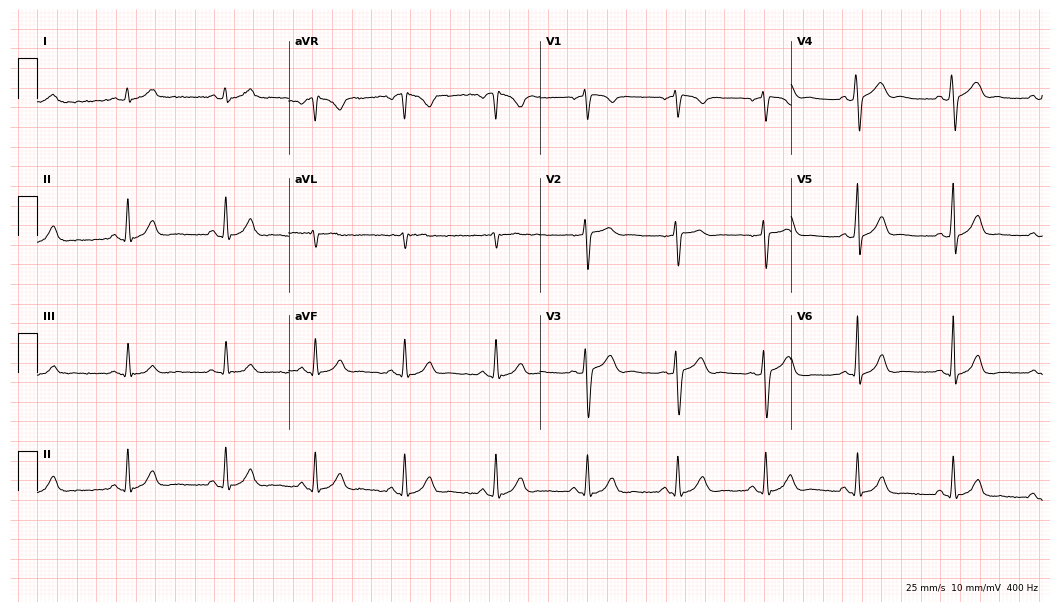
Resting 12-lead electrocardiogram. Patient: a male, 40 years old. Read as a normal ECG.